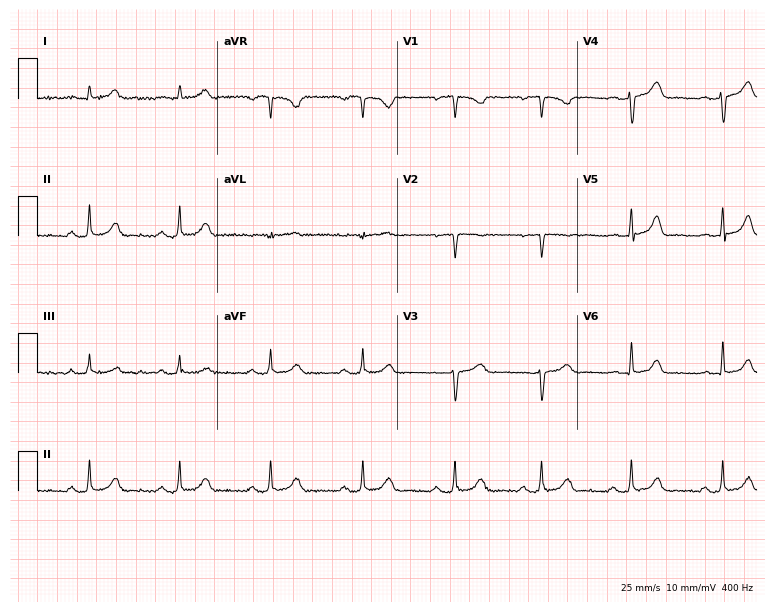
12-lead ECG from a female, 36 years old. Recorded interpretation: within normal limits.